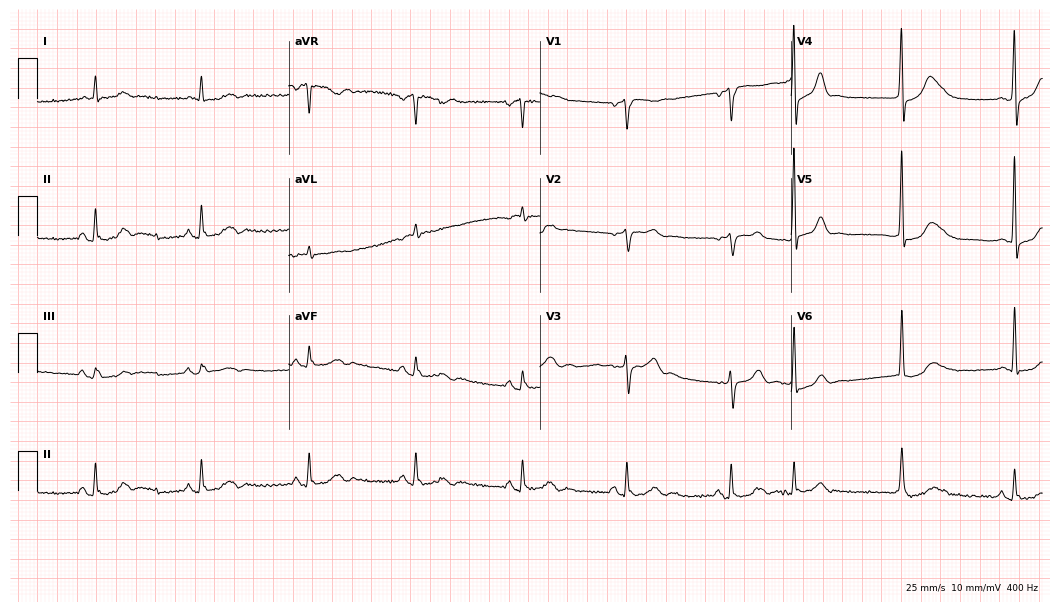
Resting 12-lead electrocardiogram (10.2-second recording at 400 Hz). Patient: a 62-year-old man. None of these six findings is recorded: first-degree AV block, right bundle branch block (RBBB), left bundle branch block (LBBB), sinus bradycardia, atrial fibrillation (AF), sinus tachycardia.